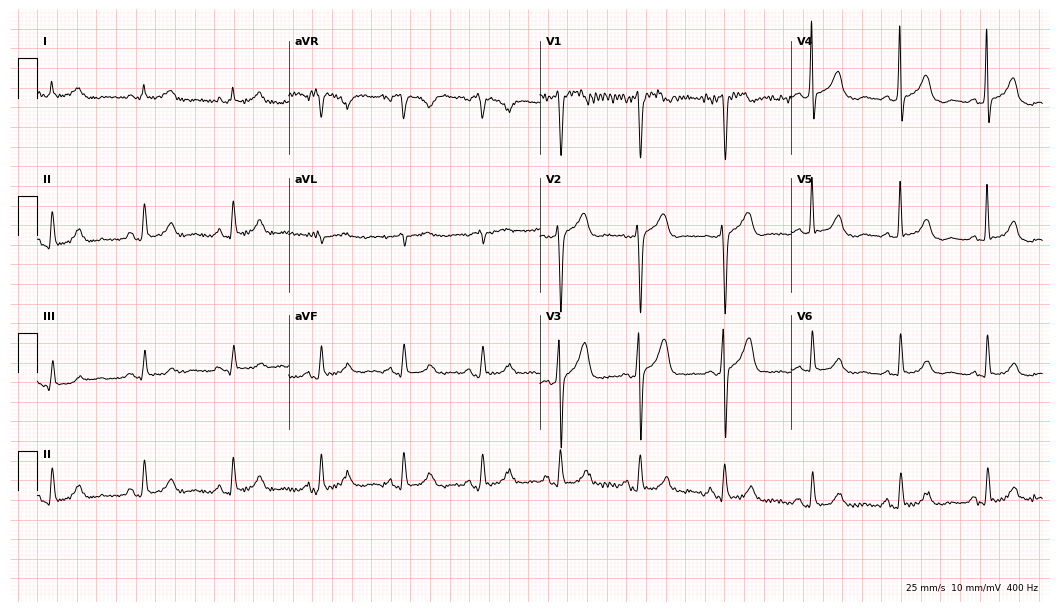
Electrocardiogram, a male patient, 69 years old. Of the six screened findings (first-degree AV block, right bundle branch block (RBBB), left bundle branch block (LBBB), sinus bradycardia, atrial fibrillation (AF), sinus tachycardia), none is recorded.